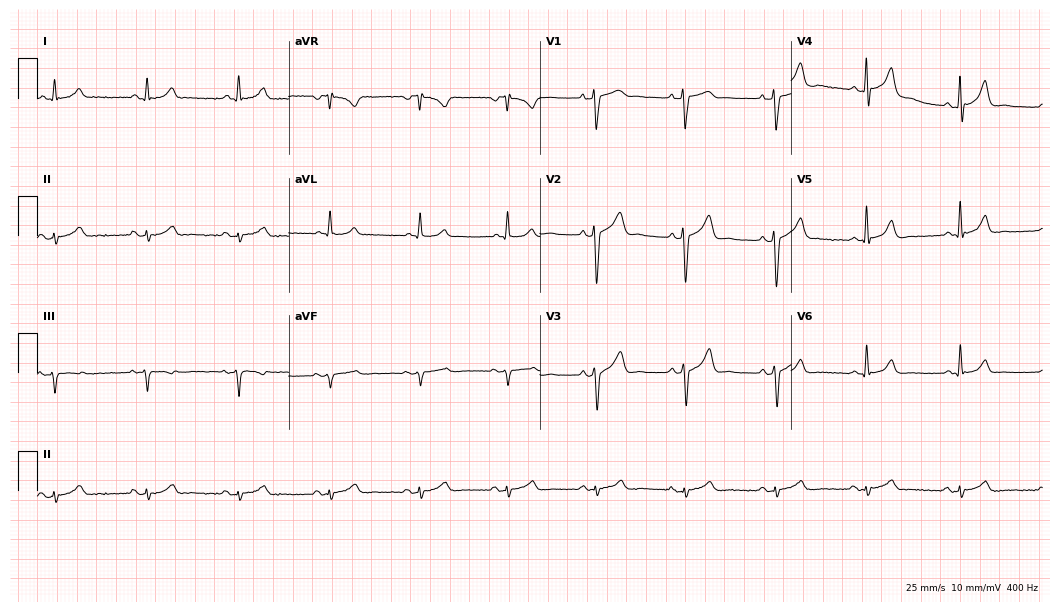
12-lead ECG from a 52-year-old man. No first-degree AV block, right bundle branch block (RBBB), left bundle branch block (LBBB), sinus bradycardia, atrial fibrillation (AF) or sinus tachycardia recorded for this tracing. Only these six findings were labelled.